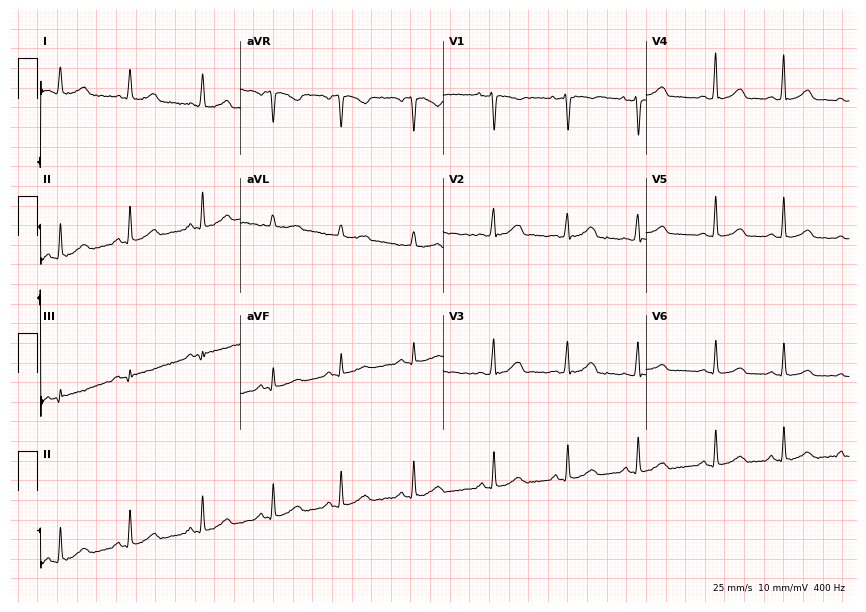
ECG (8.3-second recording at 400 Hz) — a 33-year-old female. Labelled as a normal ECG.